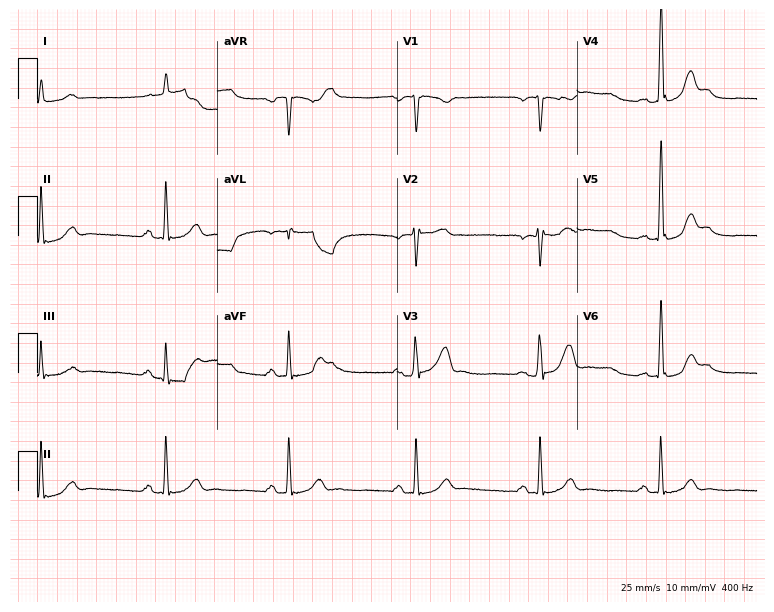
ECG (7.3-second recording at 400 Hz) — a male patient, 59 years old. Findings include sinus bradycardia (a sinus rate of 50 beats per minute or less).